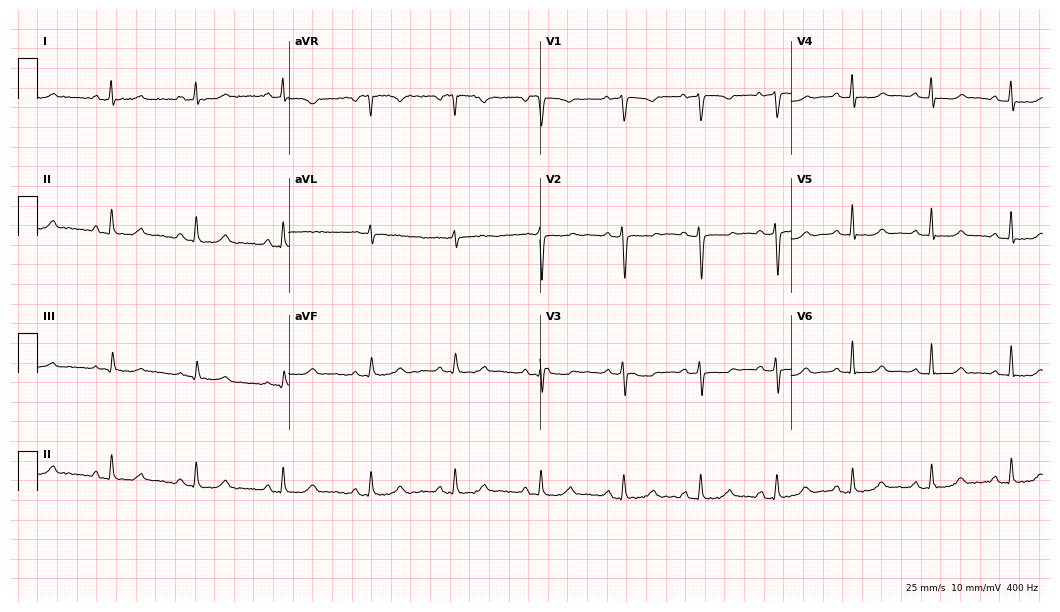
ECG — a 49-year-old female patient. Labelled as a normal ECG.